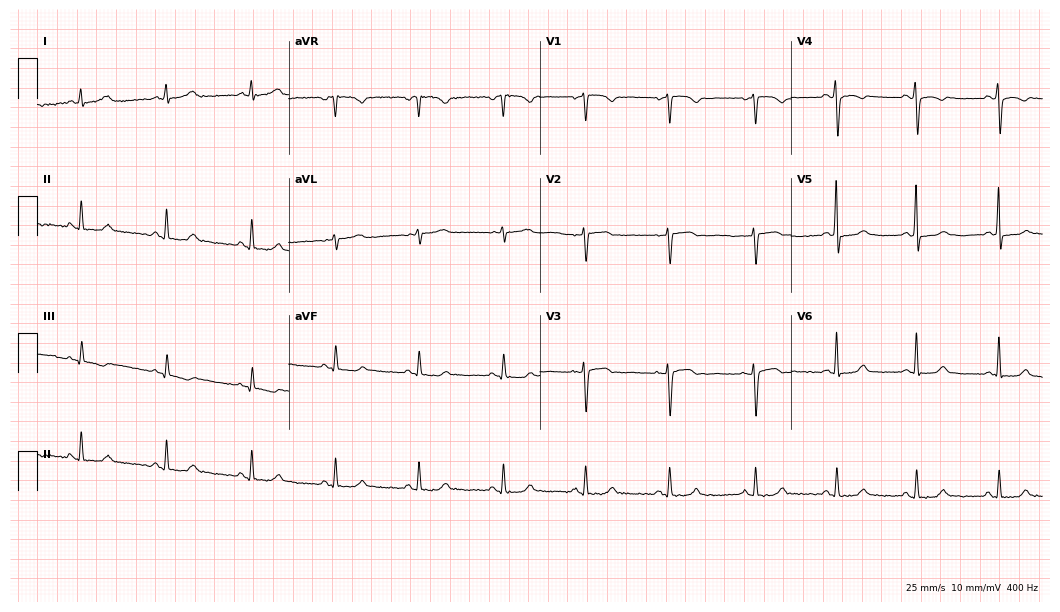
12-lead ECG from a female, 41 years old (10.2-second recording at 400 Hz). No first-degree AV block, right bundle branch block (RBBB), left bundle branch block (LBBB), sinus bradycardia, atrial fibrillation (AF) or sinus tachycardia recorded for this tracing.